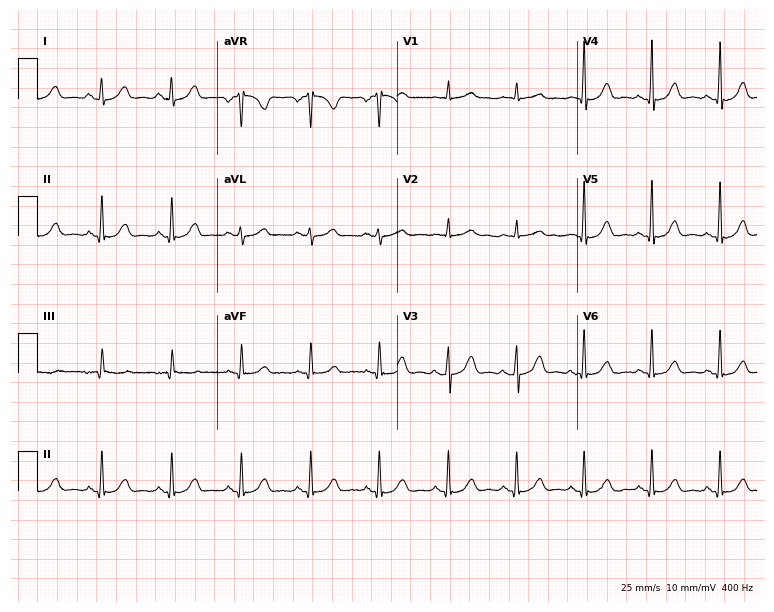
ECG (7.3-second recording at 400 Hz) — a 39-year-old female. Screened for six findings — first-degree AV block, right bundle branch block, left bundle branch block, sinus bradycardia, atrial fibrillation, sinus tachycardia — none is recorded.